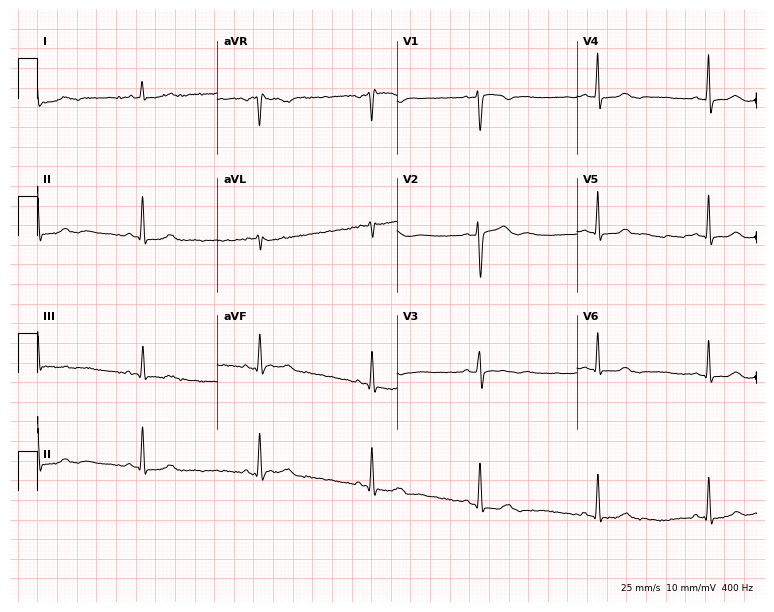
Resting 12-lead electrocardiogram. Patient: a 25-year-old female. None of these six findings is recorded: first-degree AV block, right bundle branch block, left bundle branch block, sinus bradycardia, atrial fibrillation, sinus tachycardia.